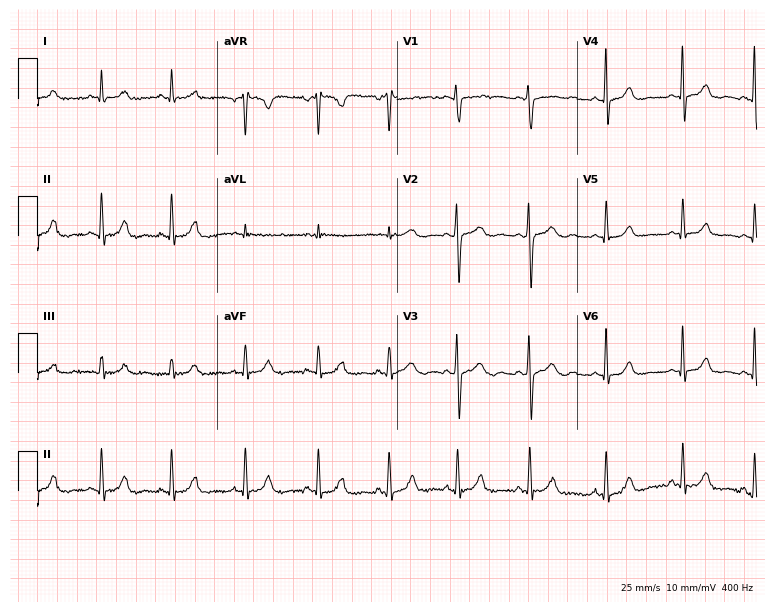
12-lead ECG from a woman, 42 years old (7.3-second recording at 400 Hz). Recorded interpretation: within normal limits.